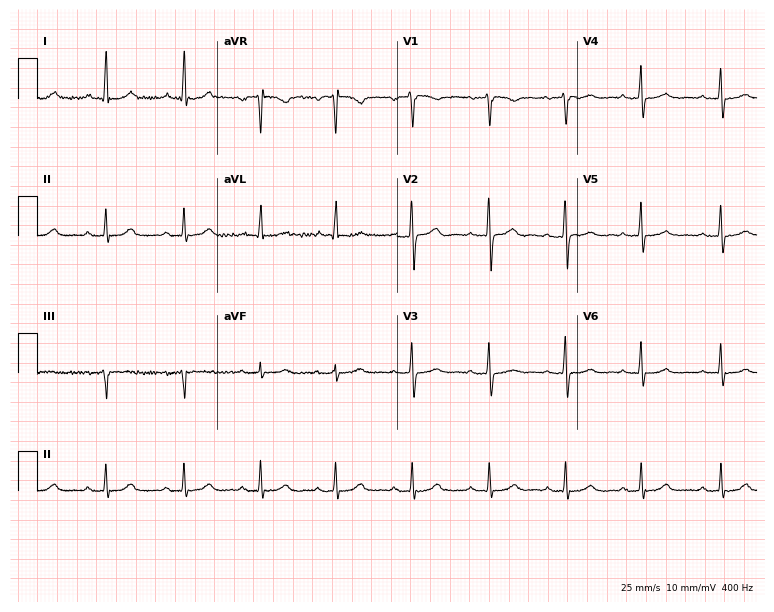
12-lead ECG from a female, 56 years old. No first-degree AV block, right bundle branch block (RBBB), left bundle branch block (LBBB), sinus bradycardia, atrial fibrillation (AF) or sinus tachycardia recorded for this tracing.